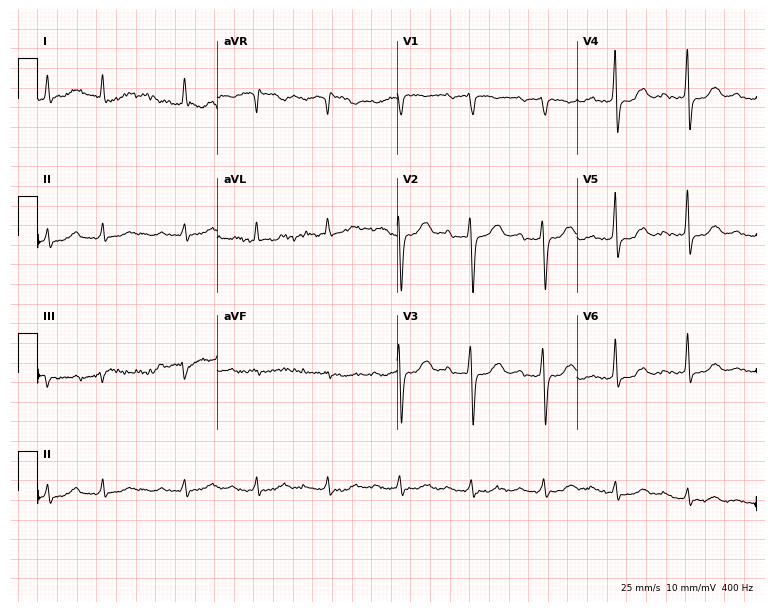
Resting 12-lead electrocardiogram (7.3-second recording at 400 Hz). Patient: a female, 85 years old. None of these six findings is recorded: first-degree AV block, right bundle branch block, left bundle branch block, sinus bradycardia, atrial fibrillation, sinus tachycardia. Only these six findings were labelled.